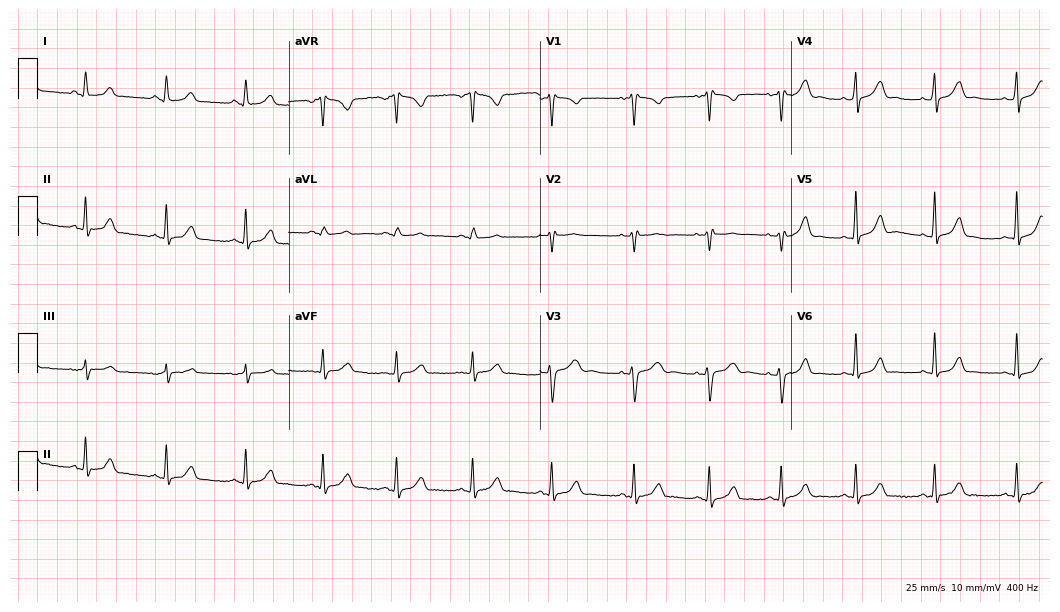
12-lead ECG from a woman, 21 years old. No first-degree AV block, right bundle branch block (RBBB), left bundle branch block (LBBB), sinus bradycardia, atrial fibrillation (AF) or sinus tachycardia recorded for this tracing. Other findings, if any, are not listed.